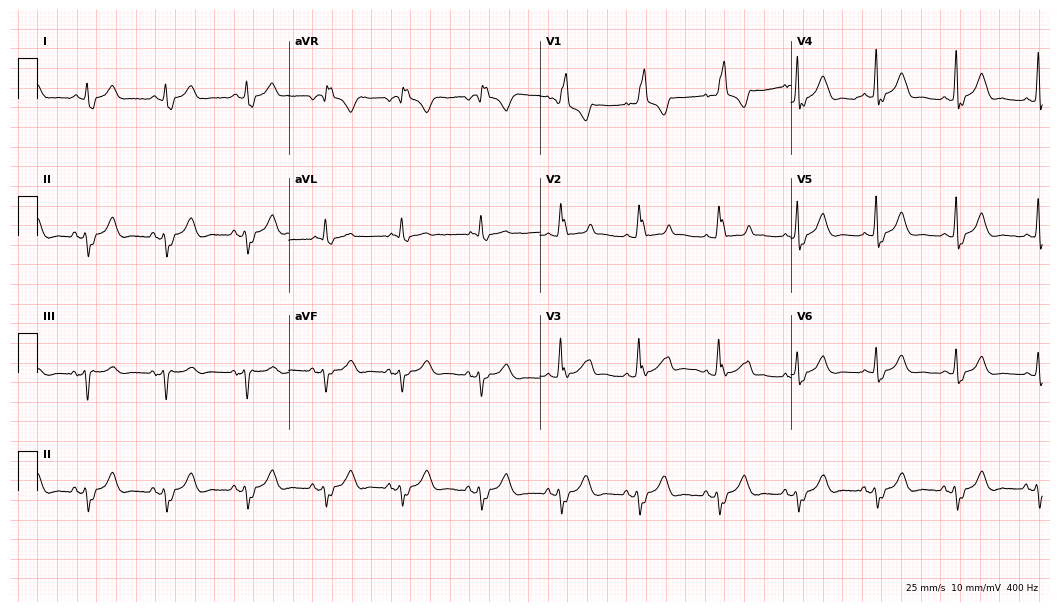
Electrocardiogram, a 69-year-old man. Interpretation includes right bundle branch block.